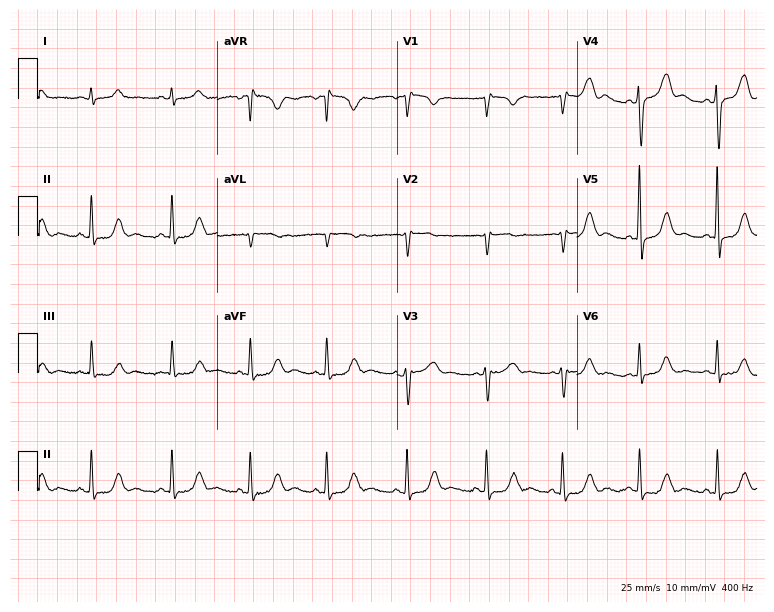
Resting 12-lead electrocardiogram (7.3-second recording at 400 Hz). Patient: a female, 53 years old. None of these six findings is recorded: first-degree AV block, right bundle branch block, left bundle branch block, sinus bradycardia, atrial fibrillation, sinus tachycardia. Other findings, if any, are not listed.